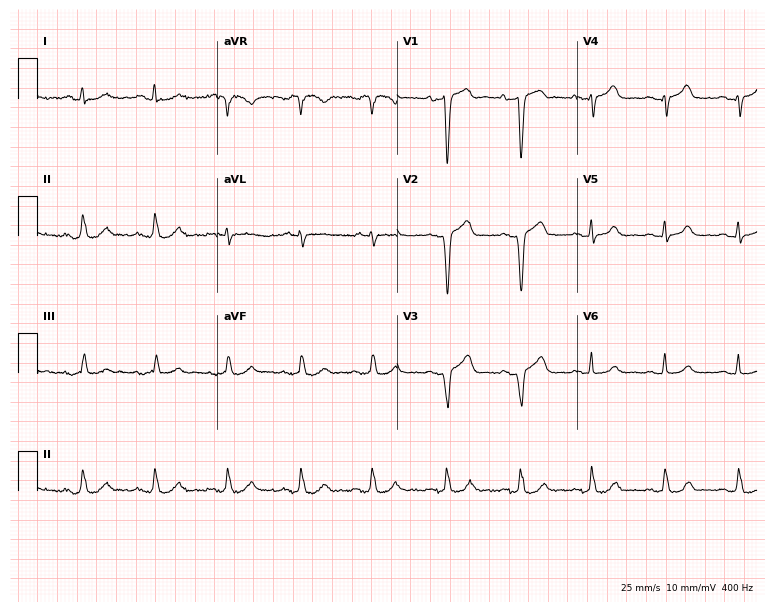
ECG — a 58-year-old male. Labelled as a normal ECG.